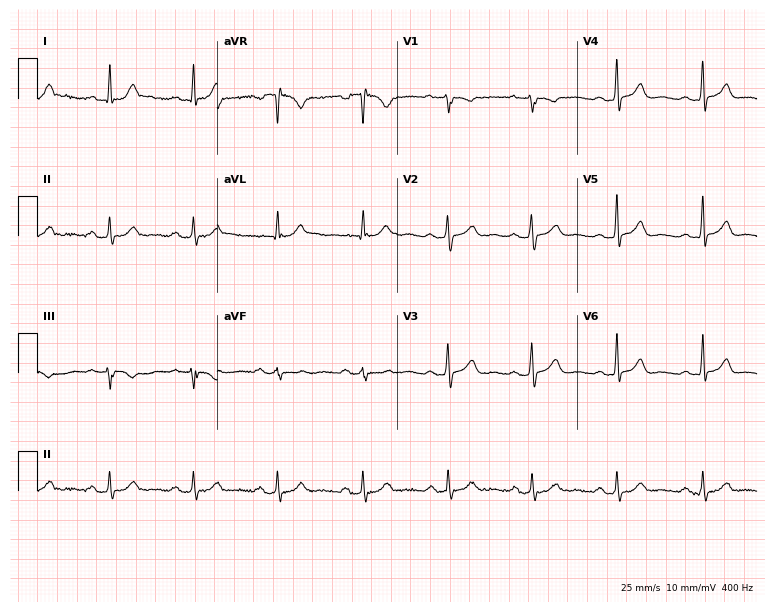
12-lead ECG (7.3-second recording at 400 Hz) from a male patient, 45 years old. Labelled as a normal ECG.